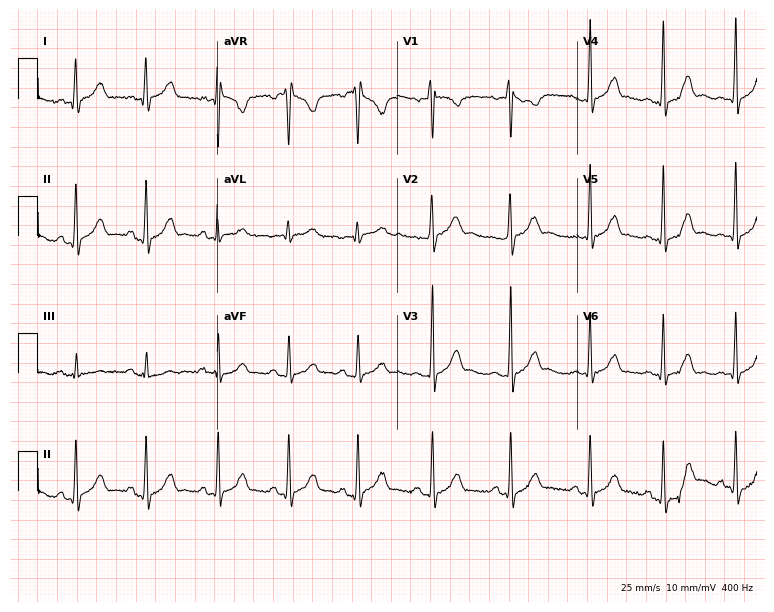
Electrocardiogram, a man, 19 years old. Of the six screened findings (first-degree AV block, right bundle branch block, left bundle branch block, sinus bradycardia, atrial fibrillation, sinus tachycardia), none is recorded.